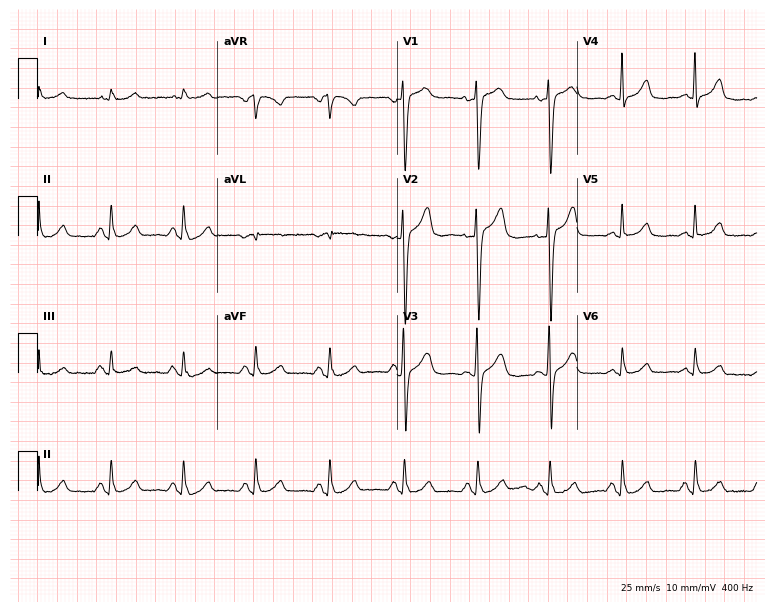
Electrocardiogram (7.3-second recording at 400 Hz), a 68-year-old female. Overall reading on record: normal ECG.